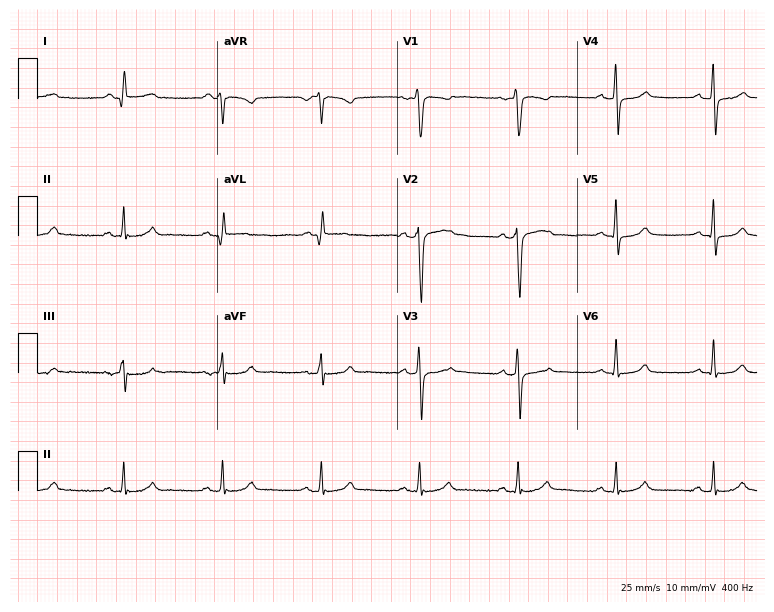
ECG (7.3-second recording at 400 Hz) — a 55-year-old male patient. Labelled as a normal ECG.